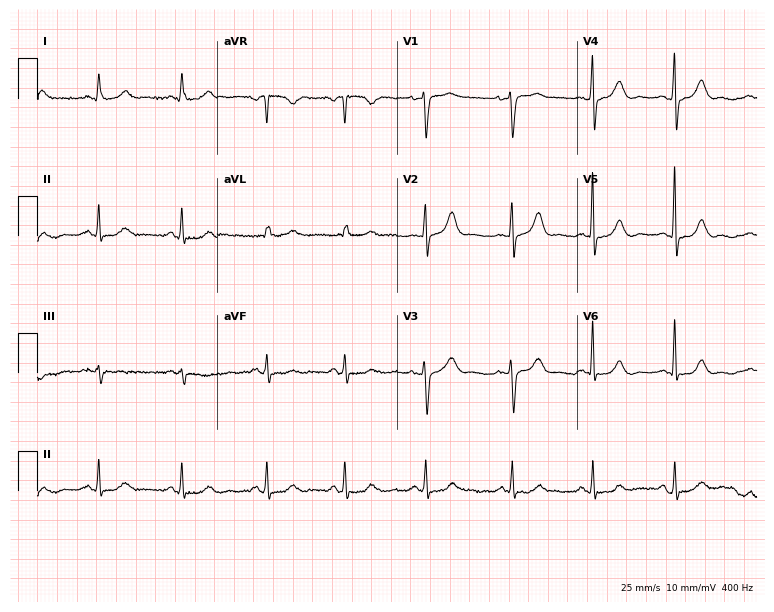
12-lead ECG from a woman, 64 years old (7.3-second recording at 400 Hz). Recorded interpretation: within normal limits.